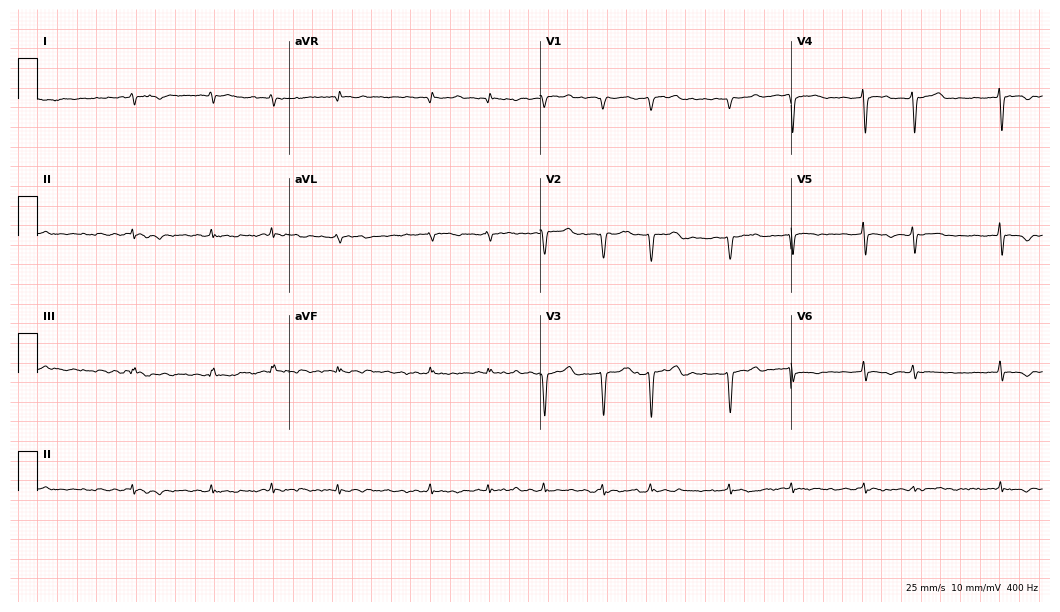
Electrocardiogram (10.2-second recording at 400 Hz), a female, 78 years old. Interpretation includes atrial fibrillation.